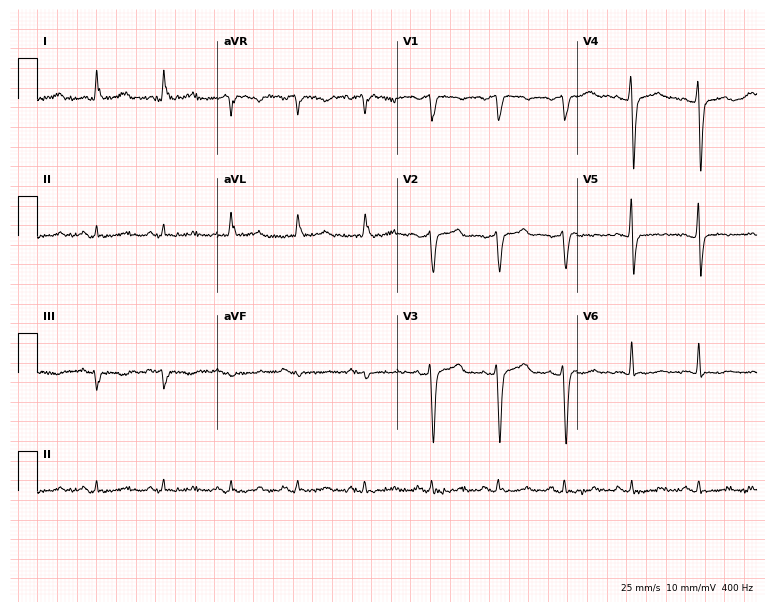
12-lead ECG from a 65-year-old male (7.3-second recording at 400 Hz). No first-degree AV block, right bundle branch block, left bundle branch block, sinus bradycardia, atrial fibrillation or sinus tachycardia recorded for this tracing.